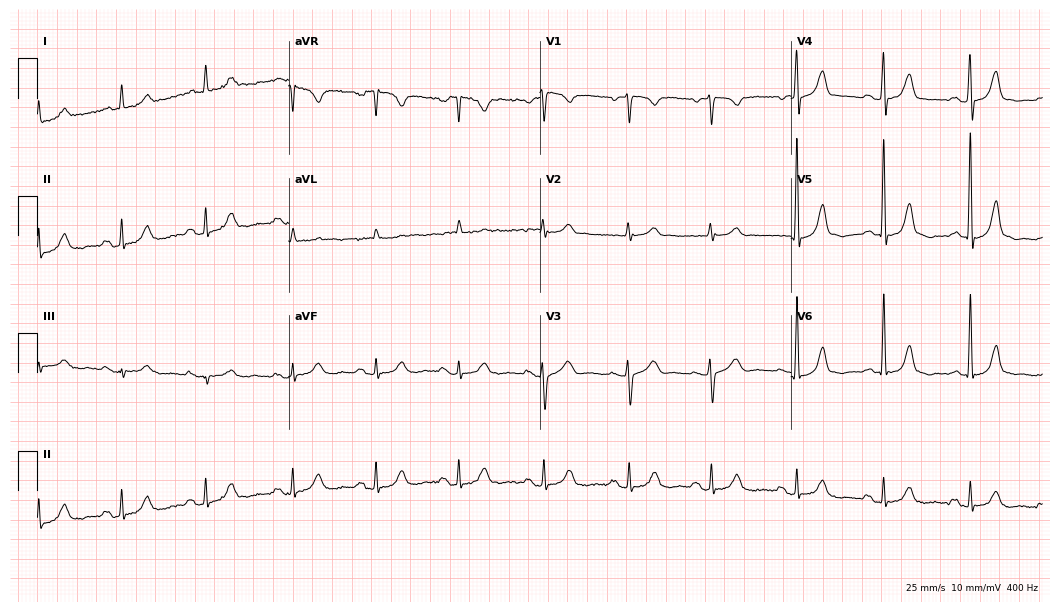
12-lead ECG from a female patient, 76 years old. Recorded interpretation: within normal limits.